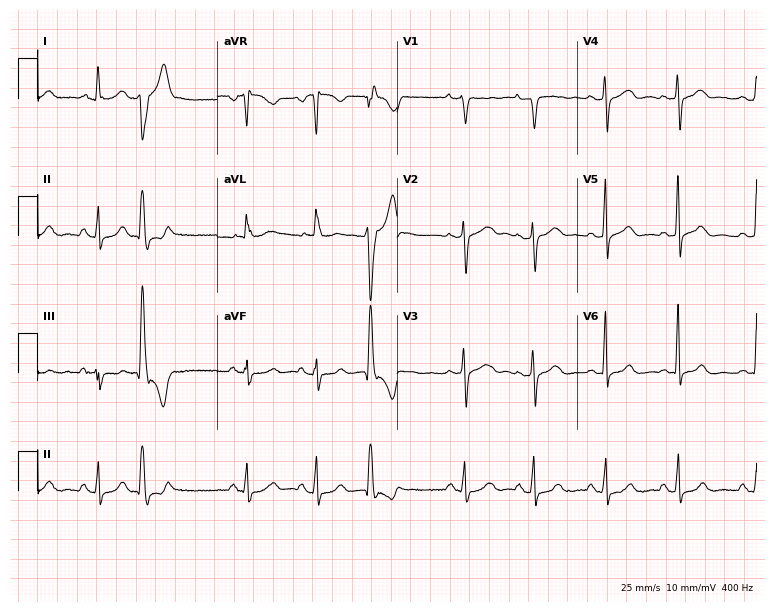
Electrocardiogram (7.3-second recording at 400 Hz), a 52-year-old woman. Of the six screened findings (first-degree AV block, right bundle branch block, left bundle branch block, sinus bradycardia, atrial fibrillation, sinus tachycardia), none is recorded.